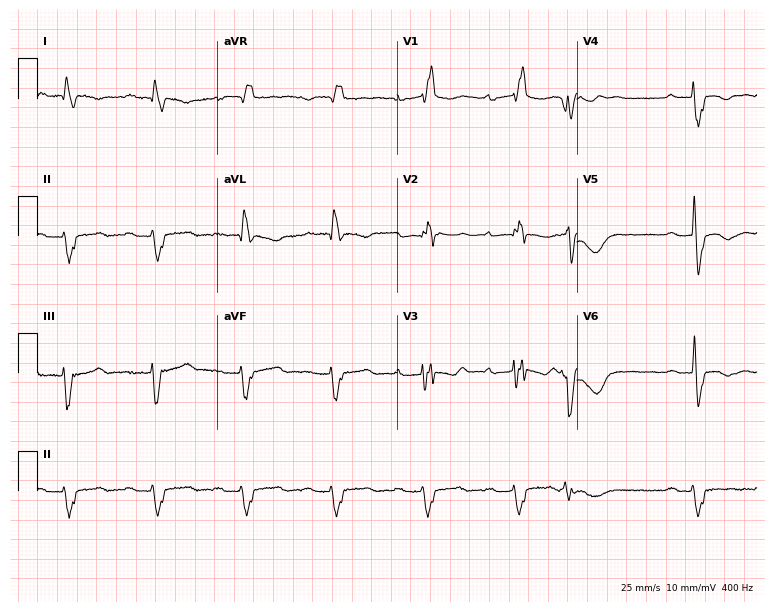
ECG (7.3-second recording at 400 Hz) — a 60-year-old male. Findings include first-degree AV block, right bundle branch block.